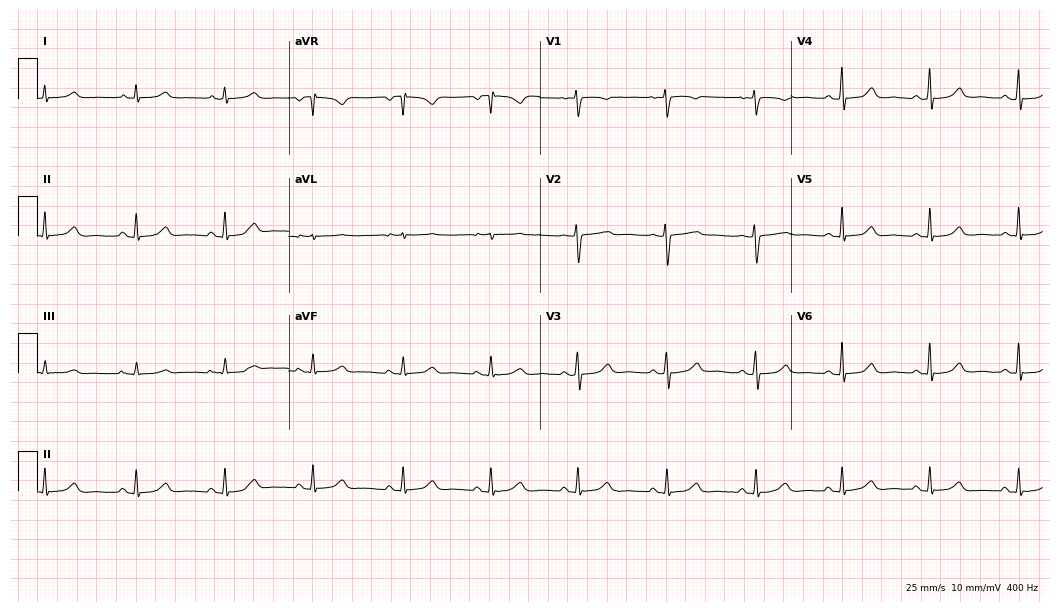
Resting 12-lead electrocardiogram. Patient: a 56-year-old female. None of these six findings is recorded: first-degree AV block, right bundle branch block, left bundle branch block, sinus bradycardia, atrial fibrillation, sinus tachycardia.